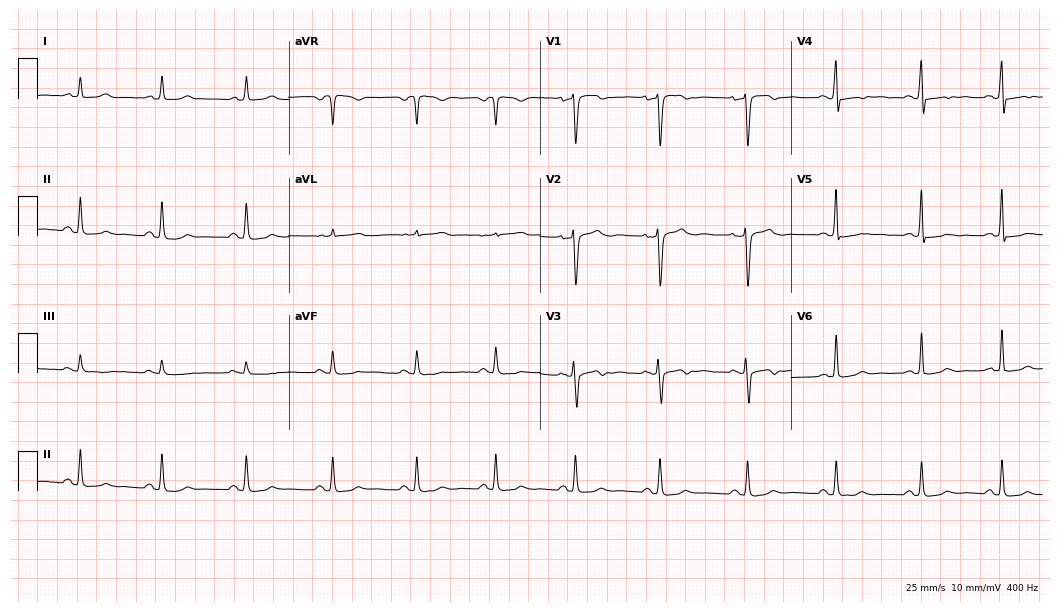
12-lead ECG from a female, 35 years old. Labelled as a normal ECG.